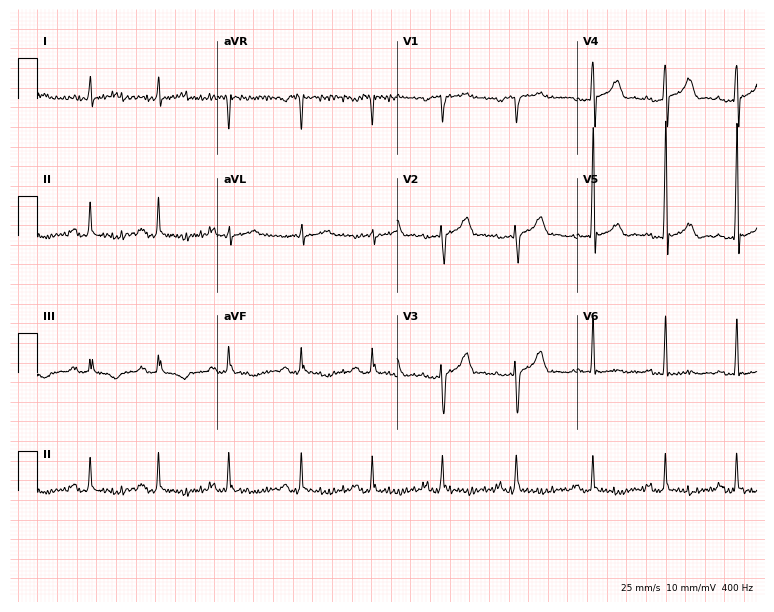
Resting 12-lead electrocardiogram. Patient: a male, 33 years old. None of these six findings is recorded: first-degree AV block, right bundle branch block, left bundle branch block, sinus bradycardia, atrial fibrillation, sinus tachycardia.